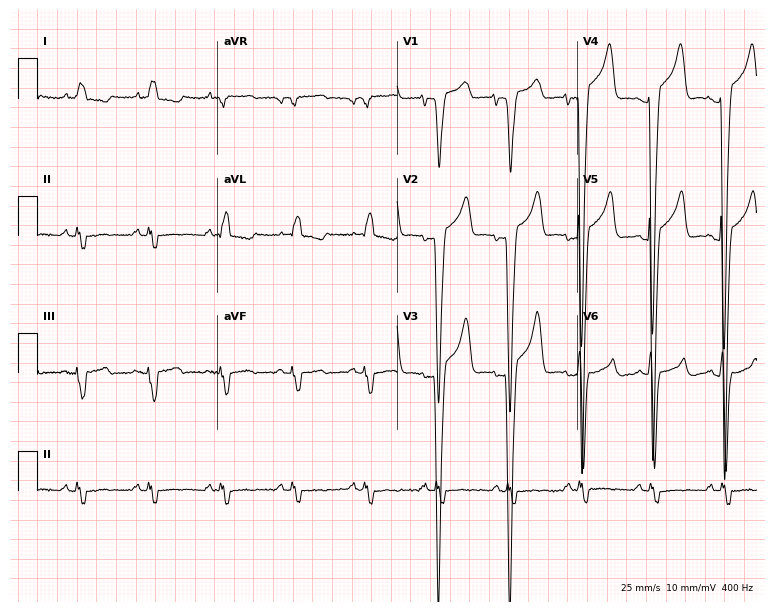
ECG (7.3-second recording at 400 Hz) — an 80-year-old woman. Screened for six findings — first-degree AV block, right bundle branch block (RBBB), left bundle branch block (LBBB), sinus bradycardia, atrial fibrillation (AF), sinus tachycardia — none is recorded.